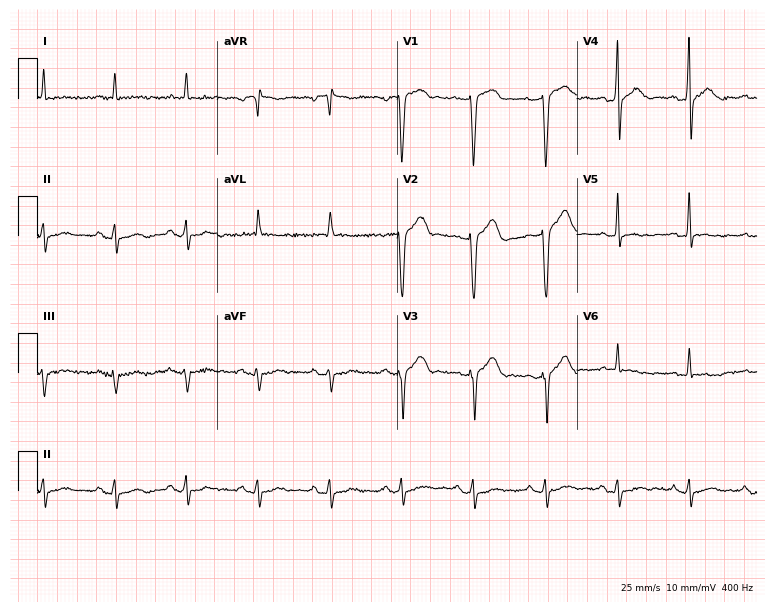
Electrocardiogram, a 54-year-old man. Of the six screened findings (first-degree AV block, right bundle branch block (RBBB), left bundle branch block (LBBB), sinus bradycardia, atrial fibrillation (AF), sinus tachycardia), none is recorded.